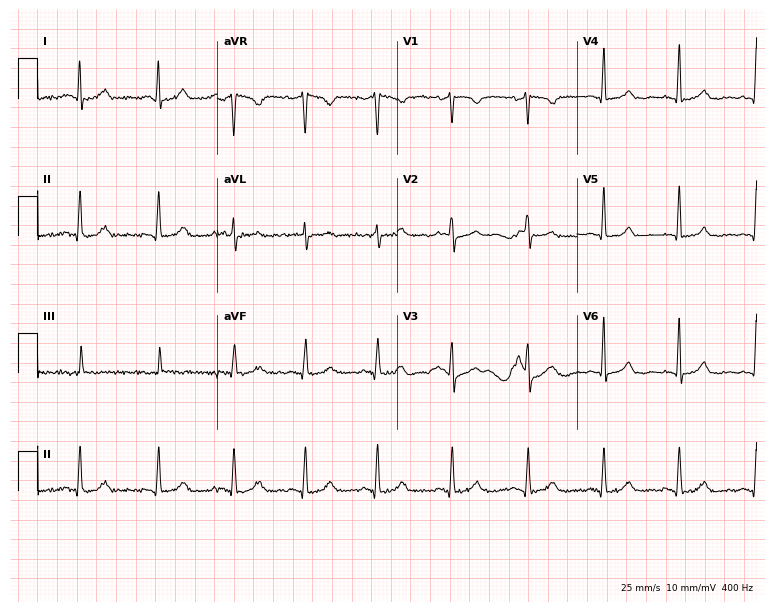
12-lead ECG from a woman, 38 years old. Labelled as a normal ECG.